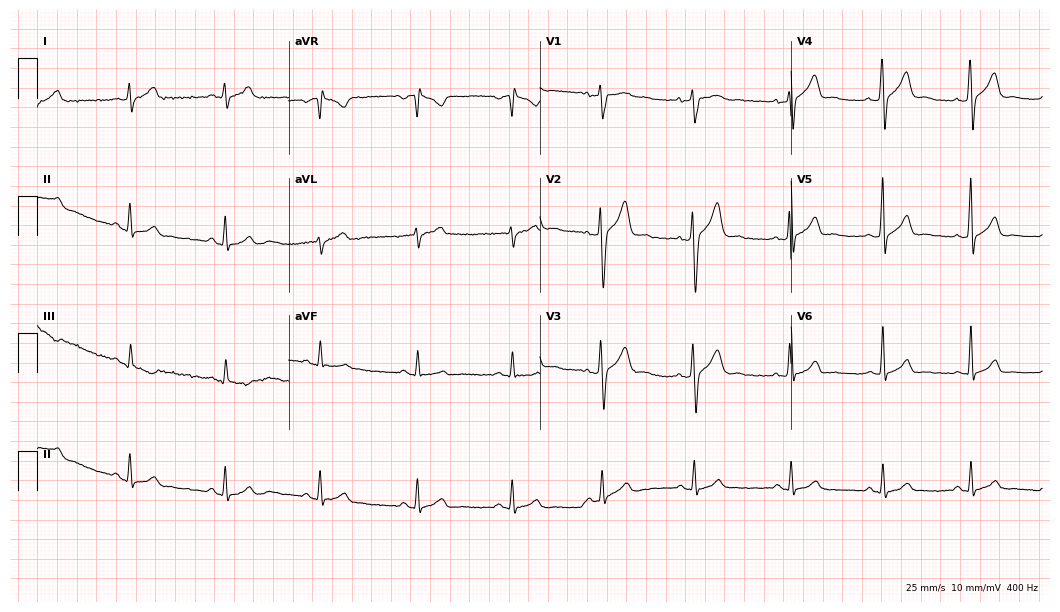
Resting 12-lead electrocardiogram. Patient: a male, 26 years old. Read as a normal ECG.